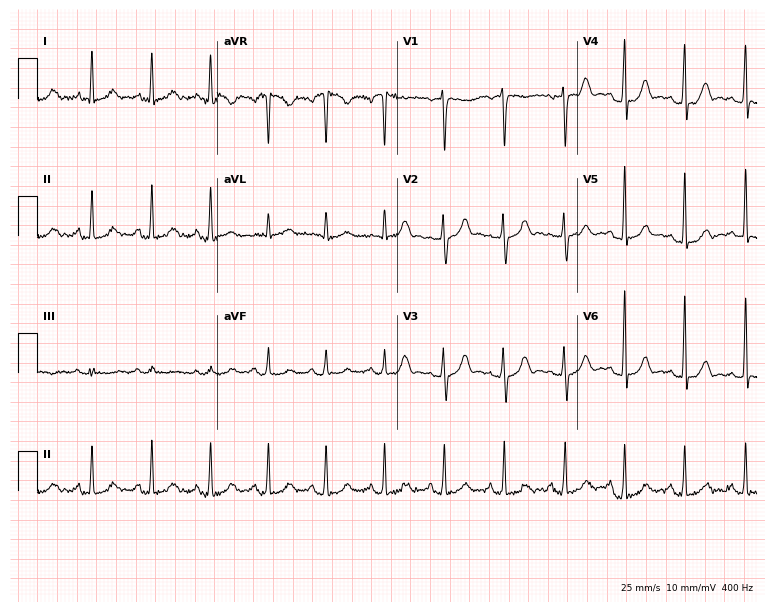
ECG (7.3-second recording at 400 Hz) — a 49-year-old female patient. Labelled as a normal ECG.